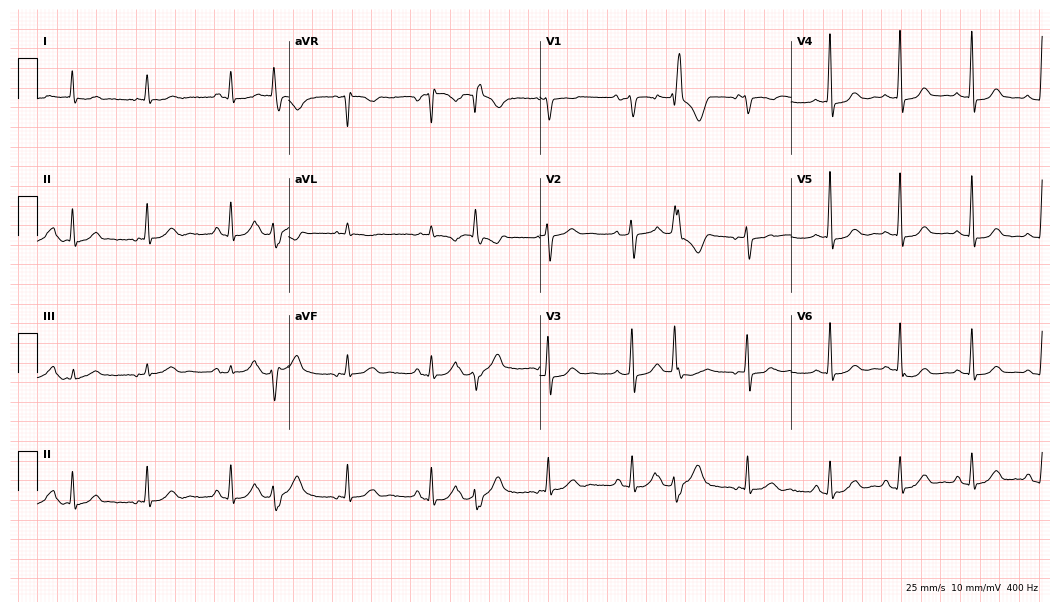
12-lead ECG from a female, 65 years old (10.2-second recording at 400 Hz). No first-degree AV block, right bundle branch block, left bundle branch block, sinus bradycardia, atrial fibrillation or sinus tachycardia recorded for this tracing.